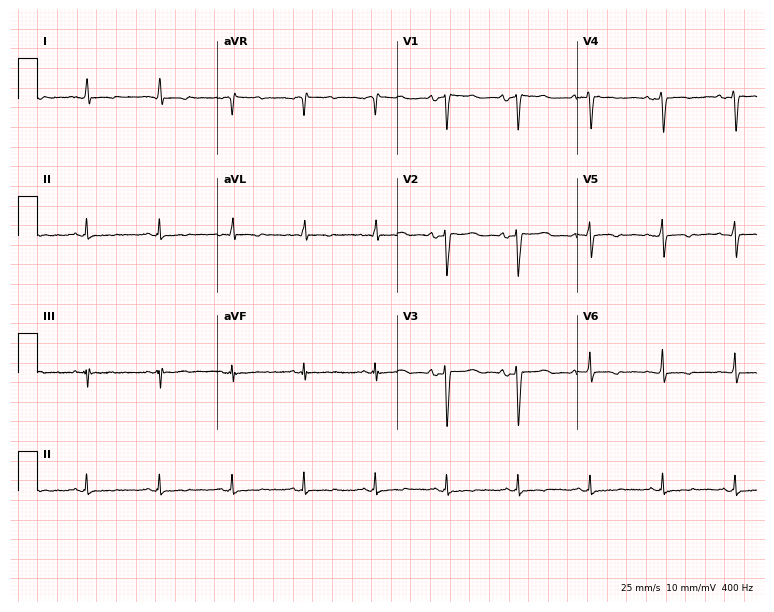
ECG — a 39-year-old woman. Screened for six findings — first-degree AV block, right bundle branch block, left bundle branch block, sinus bradycardia, atrial fibrillation, sinus tachycardia — none is recorded. Findings outside these six are not listed.